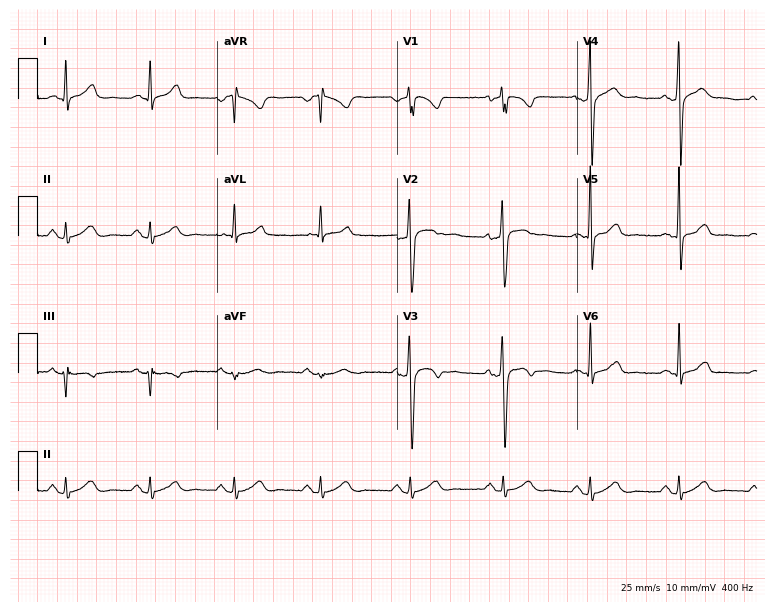
12-lead ECG (7.3-second recording at 400 Hz) from a male, 36 years old. Labelled as a normal ECG.